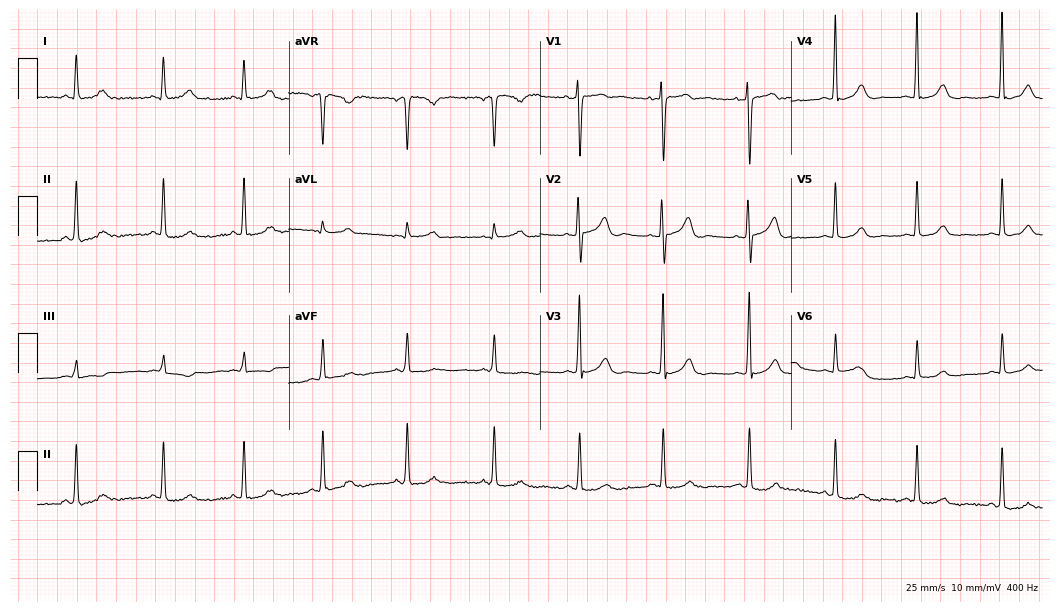
Standard 12-lead ECG recorded from a 45-year-old woman. None of these six findings is recorded: first-degree AV block, right bundle branch block, left bundle branch block, sinus bradycardia, atrial fibrillation, sinus tachycardia.